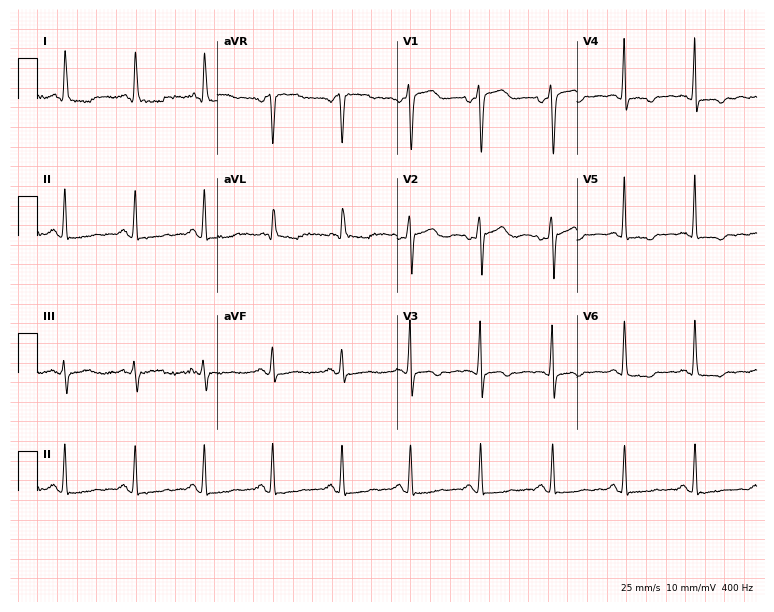
ECG — a 46-year-old female patient. Labelled as a normal ECG.